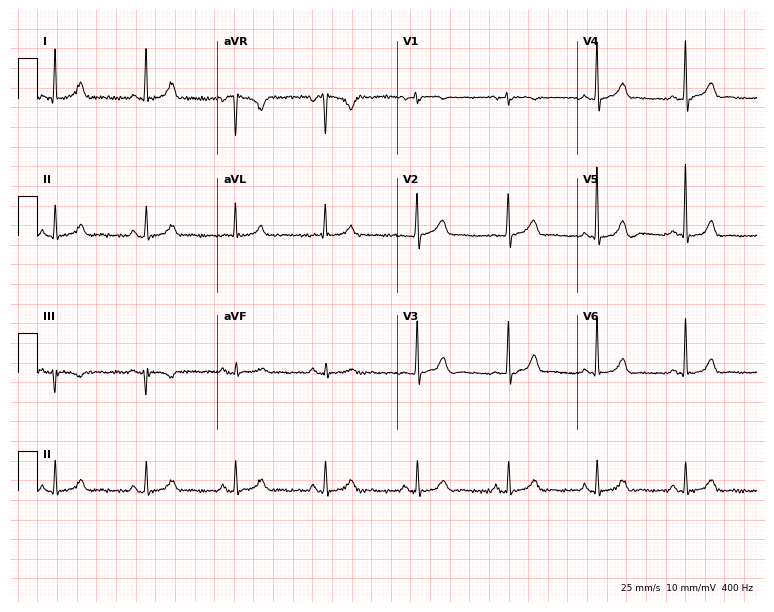
ECG (7.3-second recording at 400 Hz) — a female, 70 years old. Labelled as a normal ECG.